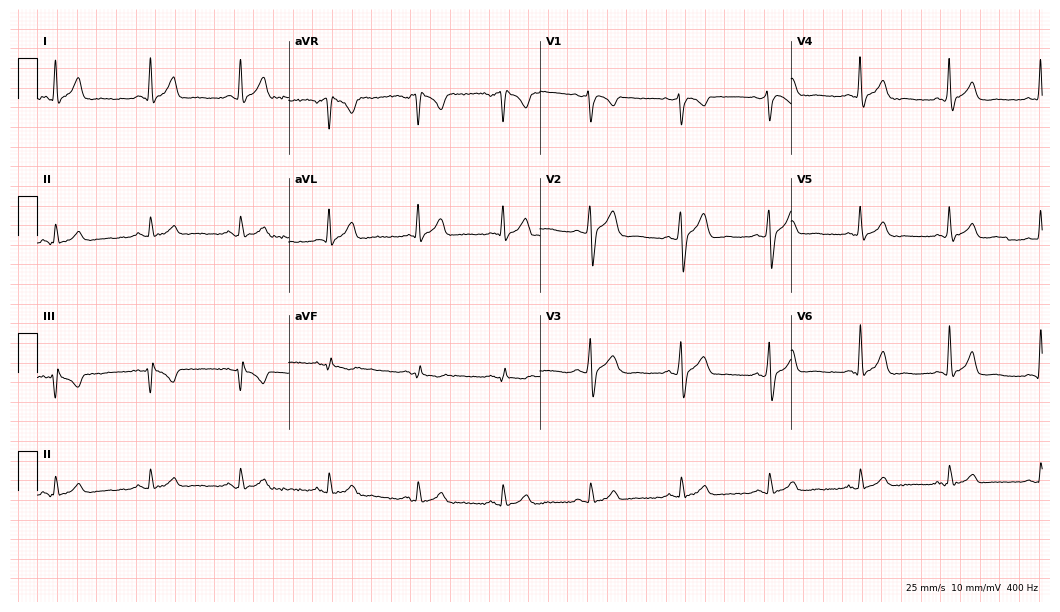
ECG (10.2-second recording at 400 Hz) — a man, 46 years old. Labelled as a normal ECG.